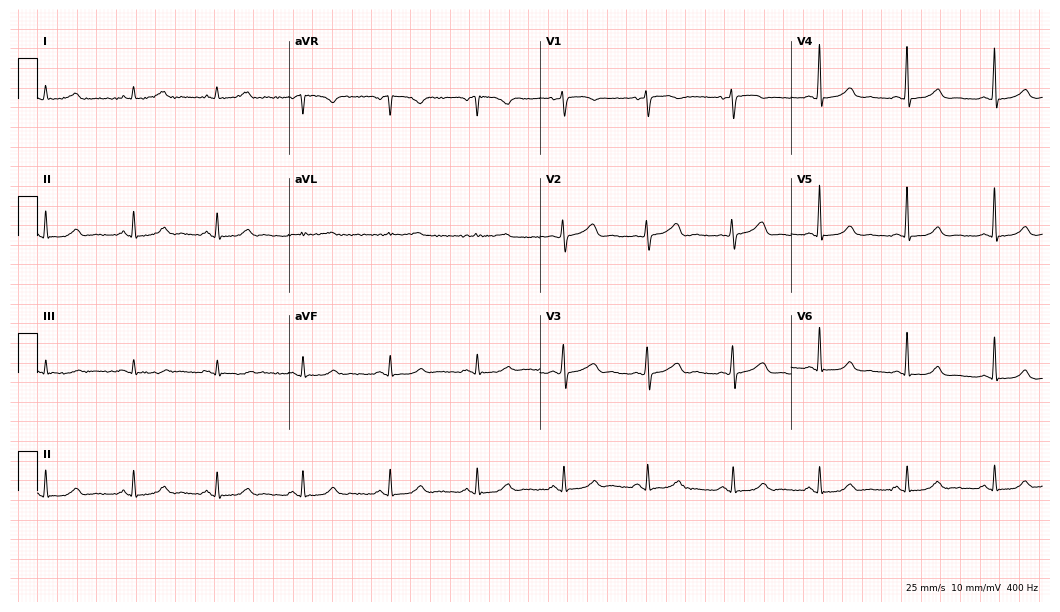
Electrocardiogram, a 38-year-old female. Of the six screened findings (first-degree AV block, right bundle branch block, left bundle branch block, sinus bradycardia, atrial fibrillation, sinus tachycardia), none is recorded.